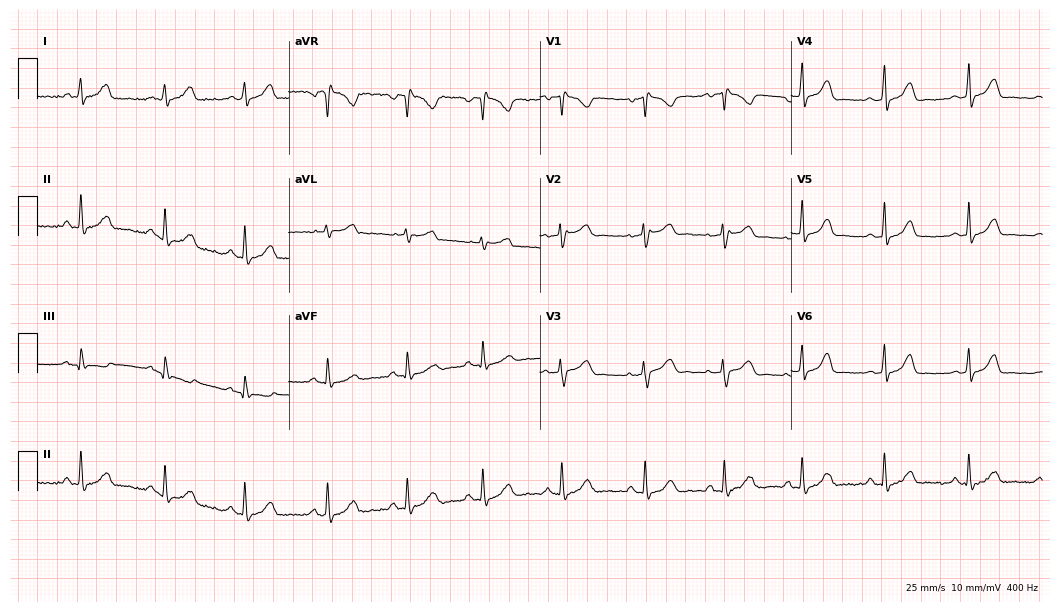
Standard 12-lead ECG recorded from a woman, 38 years old (10.2-second recording at 400 Hz). None of these six findings is recorded: first-degree AV block, right bundle branch block (RBBB), left bundle branch block (LBBB), sinus bradycardia, atrial fibrillation (AF), sinus tachycardia. Findings outside these six are not listed.